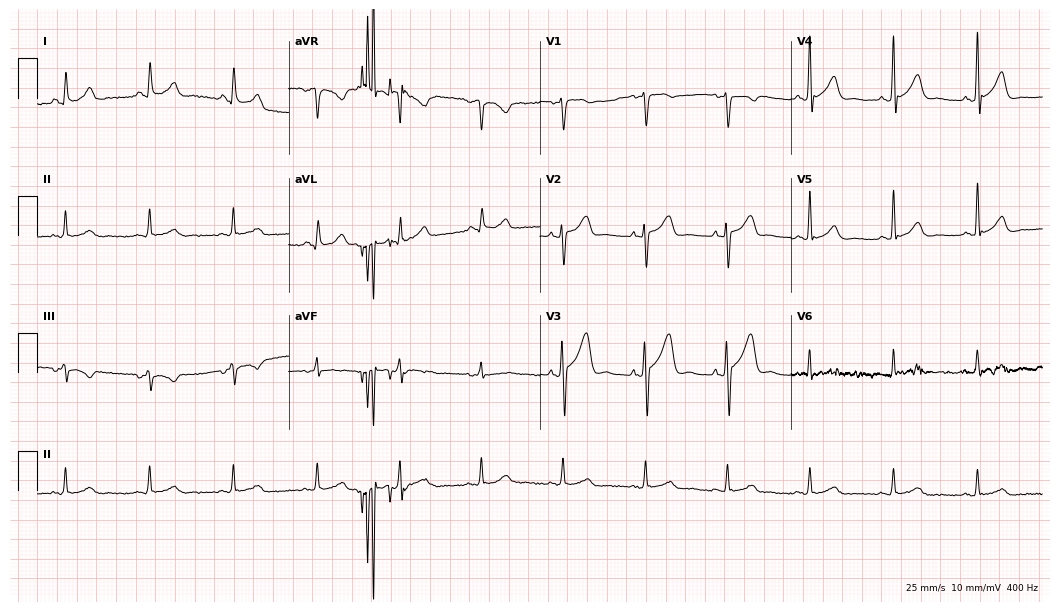
Standard 12-lead ECG recorded from a 50-year-old male (10.2-second recording at 400 Hz). Read as a normal ECG.